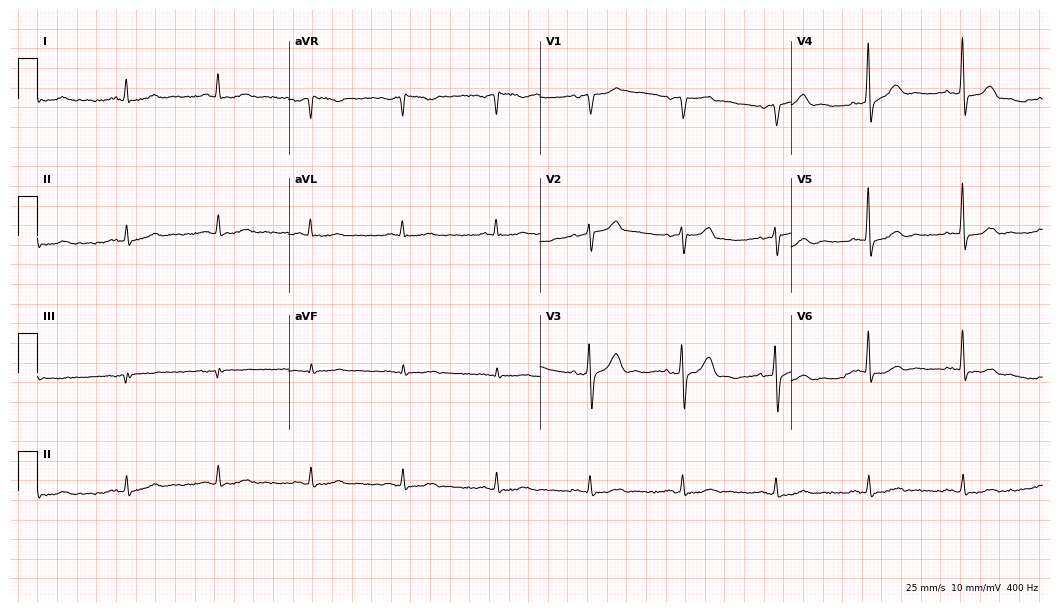
12-lead ECG from a male patient, 72 years old. No first-degree AV block, right bundle branch block (RBBB), left bundle branch block (LBBB), sinus bradycardia, atrial fibrillation (AF) or sinus tachycardia recorded for this tracing. Other findings, if any, are not listed.